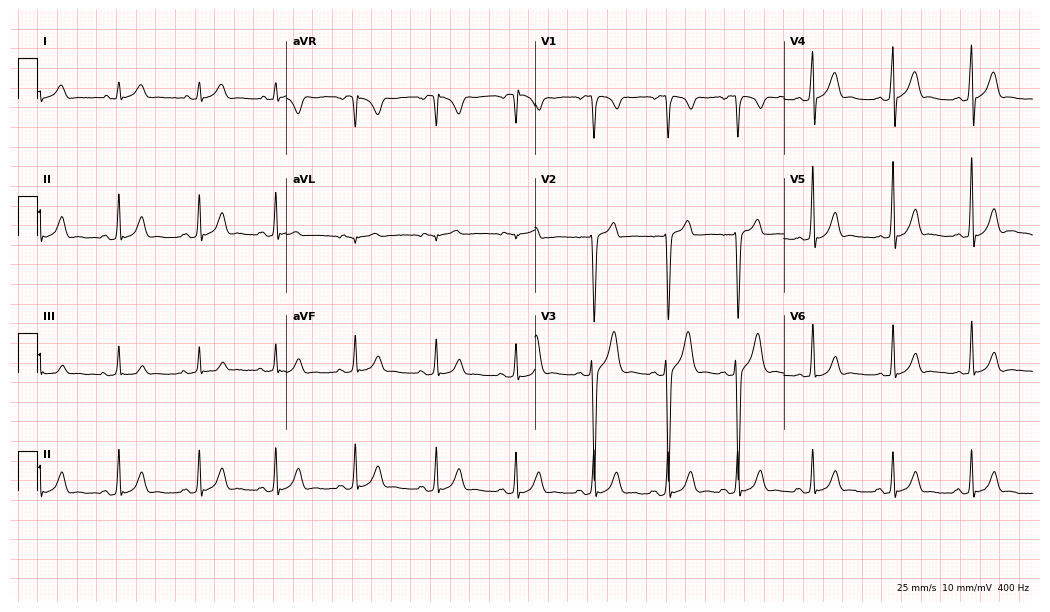
Electrocardiogram, a 20-year-old male. Overall reading on record: normal ECG.